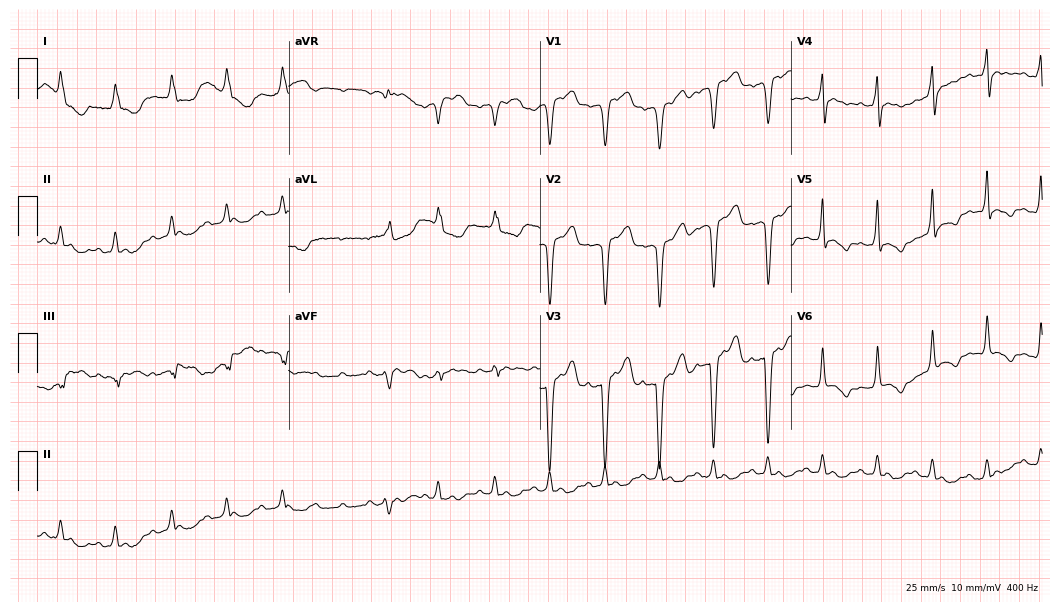
Electrocardiogram, a female, 85 years old. Of the six screened findings (first-degree AV block, right bundle branch block (RBBB), left bundle branch block (LBBB), sinus bradycardia, atrial fibrillation (AF), sinus tachycardia), none is recorded. Only these six findings were labelled.